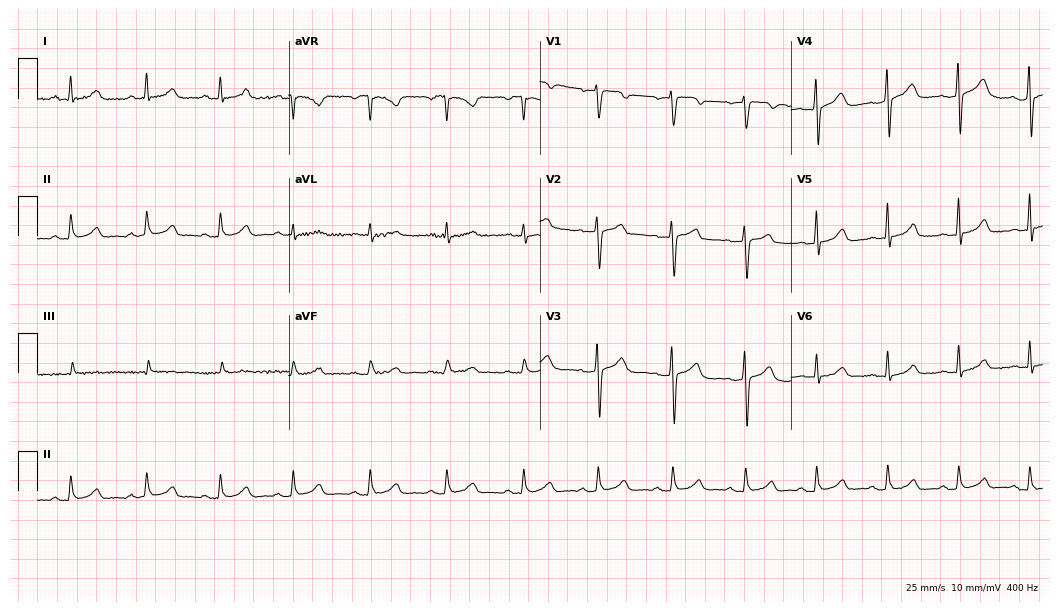
12-lead ECG from a 29-year-old female patient (10.2-second recording at 400 Hz). Recorded interpretation: within normal limits.